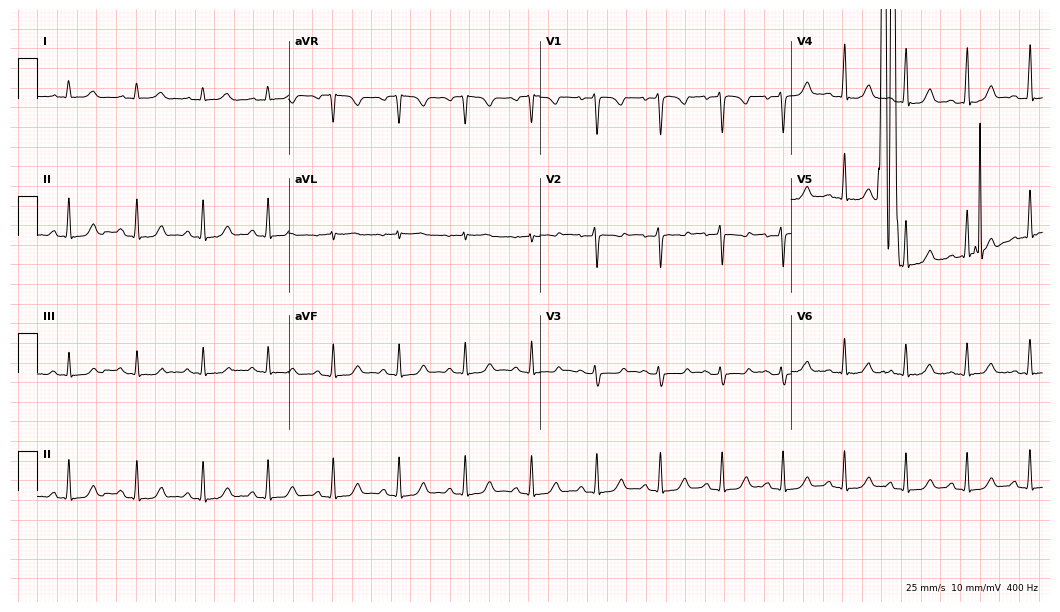
12-lead ECG from a 29-year-old female patient. No first-degree AV block, right bundle branch block (RBBB), left bundle branch block (LBBB), sinus bradycardia, atrial fibrillation (AF) or sinus tachycardia recorded for this tracing. Findings outside these six are not listed.